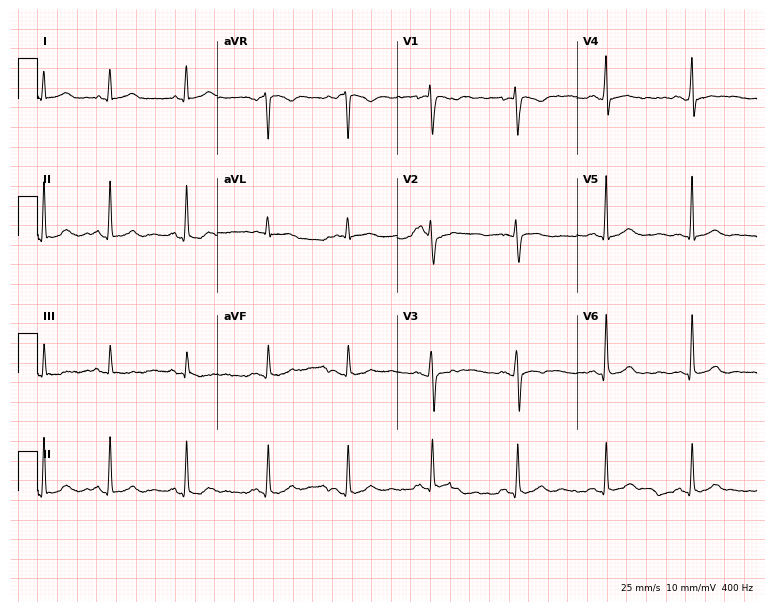
Standard 12-lead ECG recorded from a female, 26 years old. None of these six findings is recorded: first-degree AV block, right bundle branch block, left bundle branch block, sinus bradycardia, atrial fibrillation, sinus tachycardia.